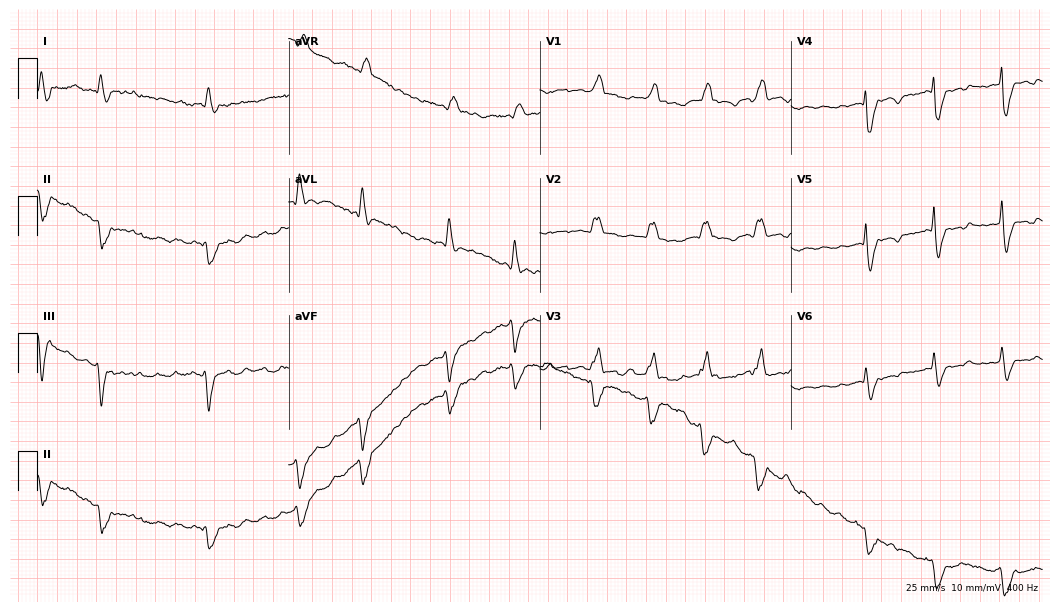
Resting 12-lead electrocardiogram (10.2-second recording at 400 Hz). Patient: a 76-year-old woman. The tracing shows right bundle branch block.